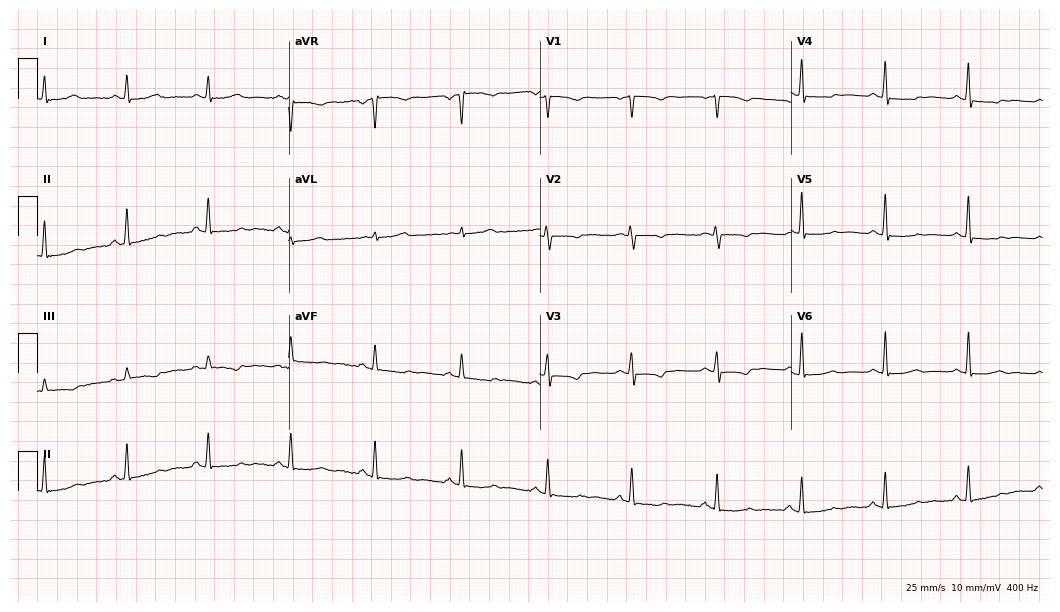
Electrocardiogram (10.2-second recording at 400 Hz), a 55-year-old female patient. Of the six screened findings (first-degree AV block, right bundle branch block, left bundle branch block, sinus bradycardia, atrial fibrillation, sinus tachycardia), none is recorded.